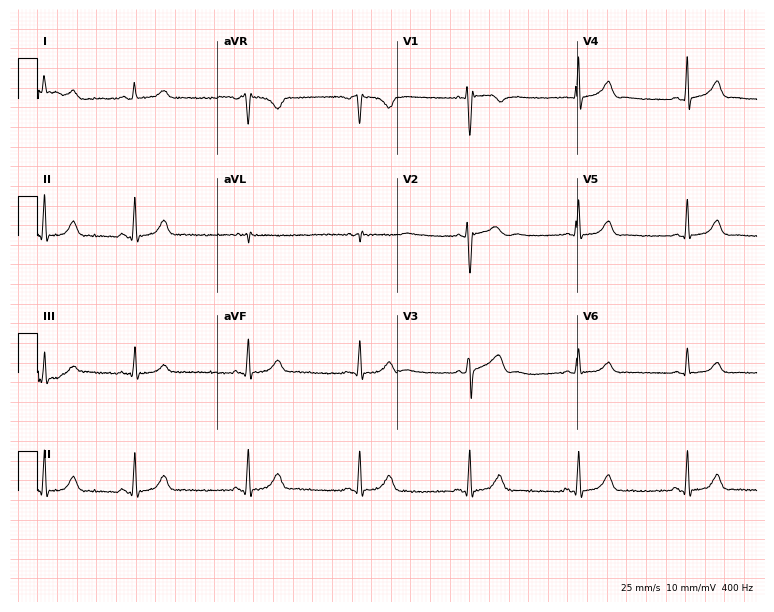
ECG — a 21-year-old female. Labelled as a normal ECG.